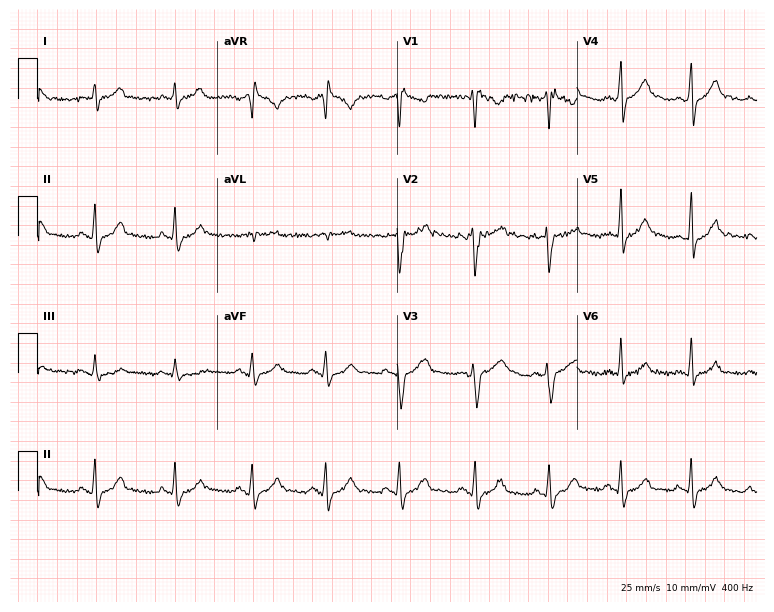
Standard 12-lead ECG recorded from a male, 22 years old (7.3-second recording at 400 Hz). None of these six findings is recorded: first-degree AV block, right bundle branch block, left bundle branch block, sinus bradycardia, atrial fibrillation, sinus tachycardia. Findings outside these six are not listed.